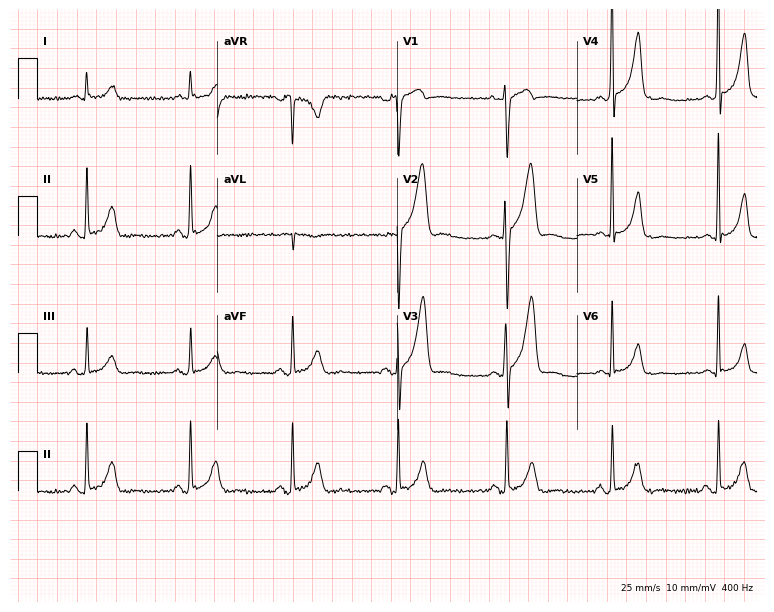
Electrocardiogram (7.3-second recording at 400 Hz), a 57-year-old male. Of the six screened findings (first-degree AV block, right bundle branch block (RBBB), left bundle branch block (LBBB), sinus bradycardia, atrial fibrillation (AF), sinus tachycardia), none is recorded. Only these six findings were labelled.